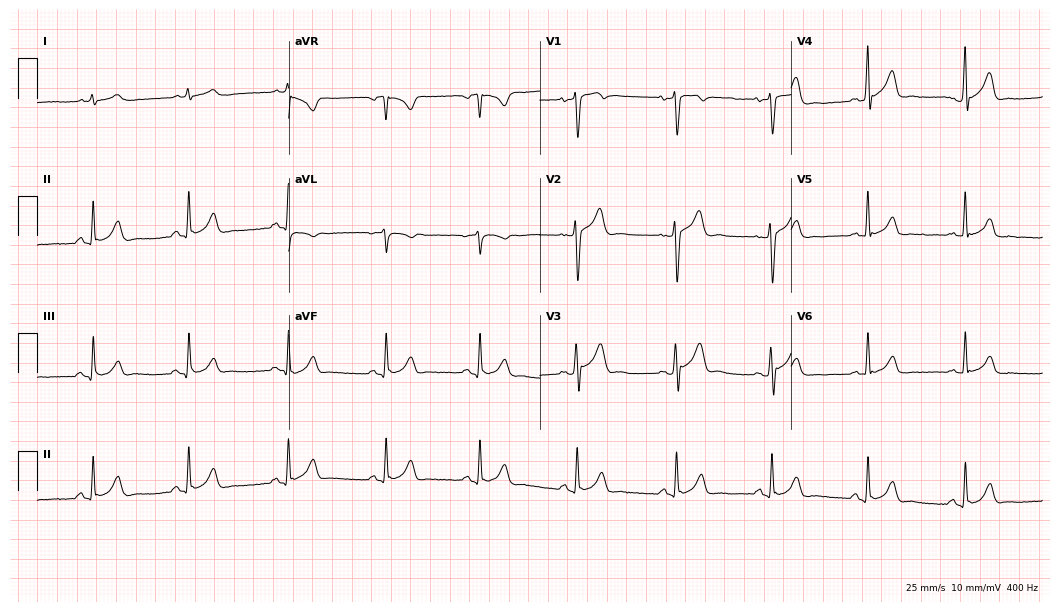
Resting 12-lead electrocardiogram. Patient: a man, 27 years old. Read as a normal ECG.